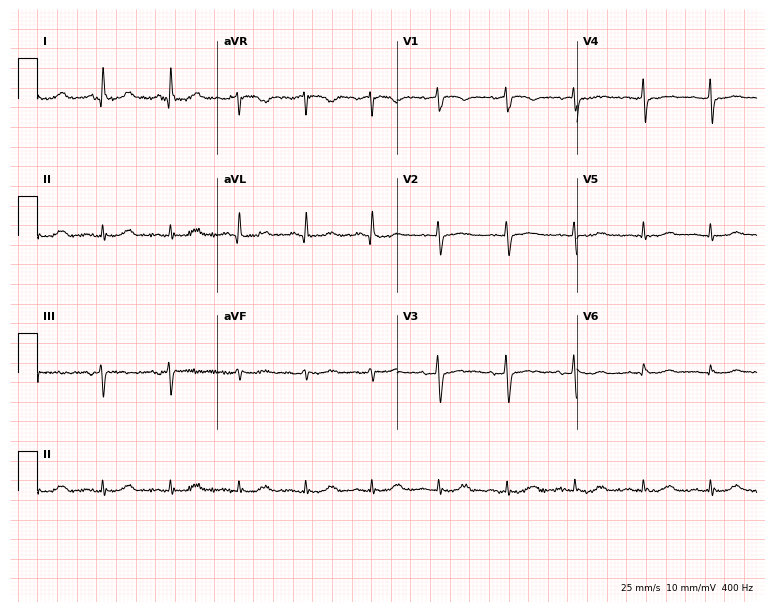
Resting 12-lead electrocardiogram. Patient: a woman, 72 years old. None of these six findings is recorded: first-degree AV block, right bundle branch block, left bundle branch block, sinus bradycardia, atrial fibrillation, sinus tachycardia. Findings outside these six are not listed.